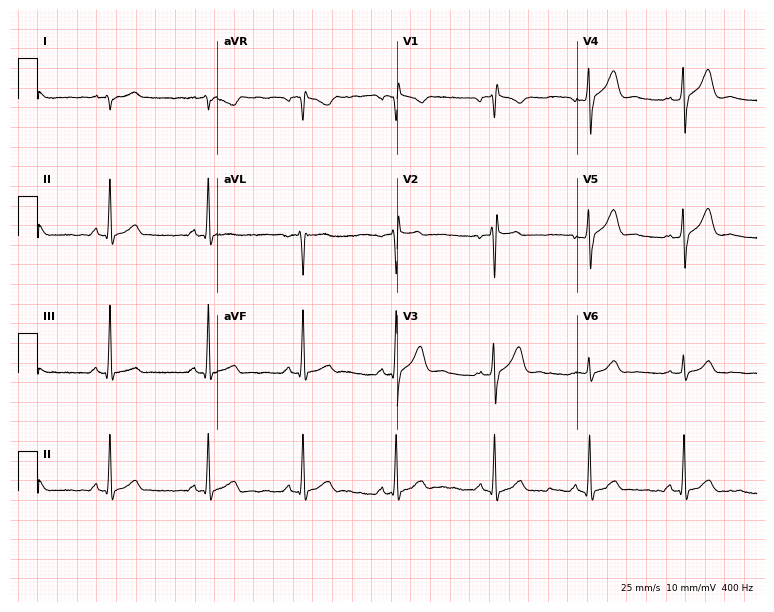
Resting 12-lead electrocardiogram. Patient: a 24-year-old male. None of these six findings is recorded: first-degree AV block, right bundle branch block, left bundle branch block, sinus bradycardia, atrial fibrillation, sinus tachycardia.